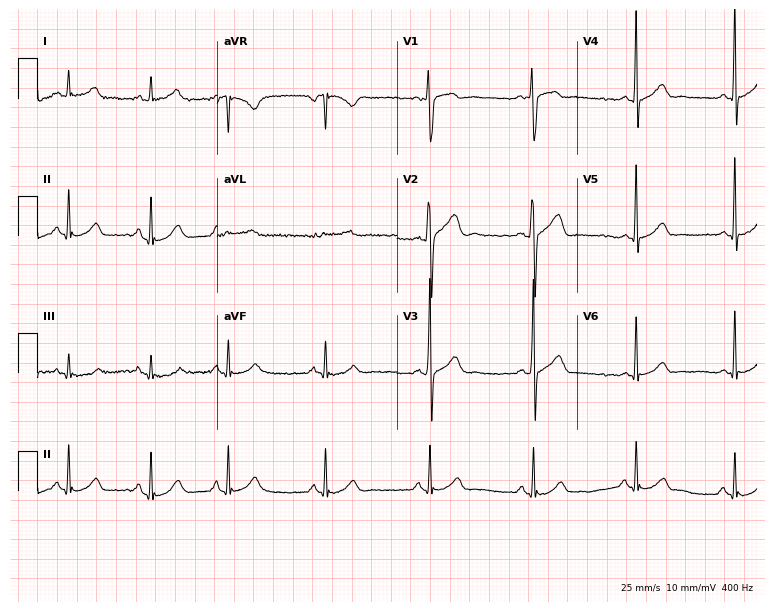
Electrocardiogram (7.3-second recording at 400 Hz), a male, 32 years old. Overall reading on record: normal ECG.